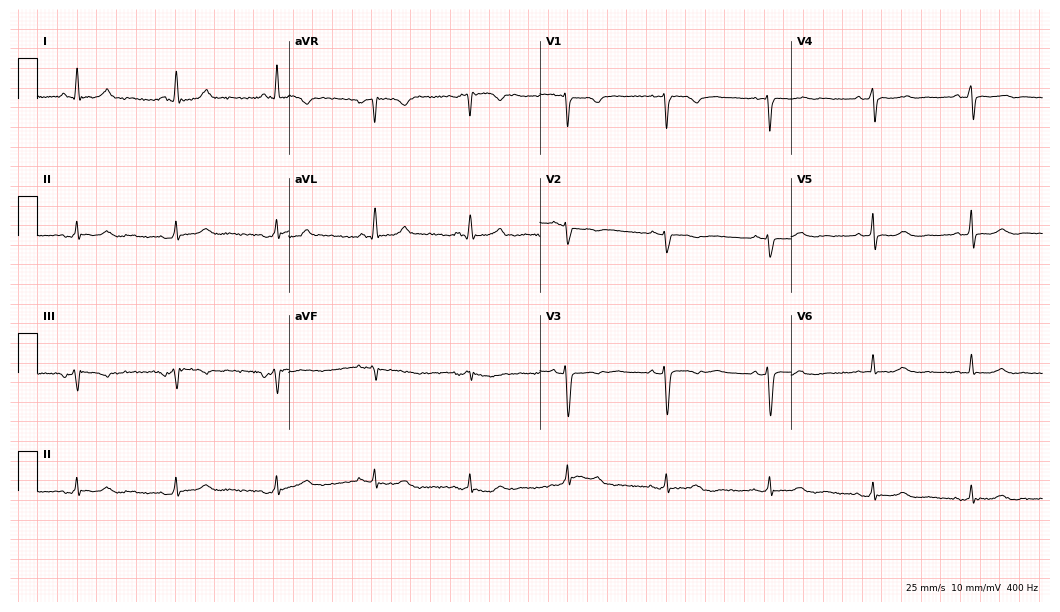
Standard 12-lead ECG recorded from a male patient, 66 years old (10.2-second recording at 400 Hz). None of these six findings is recorded: first-degree AV block, right bundle branch block (RBBB), left bundle branch block (LBBB), sinus bradycardia, atrial fibrillation (AF), sinus tachycardia.